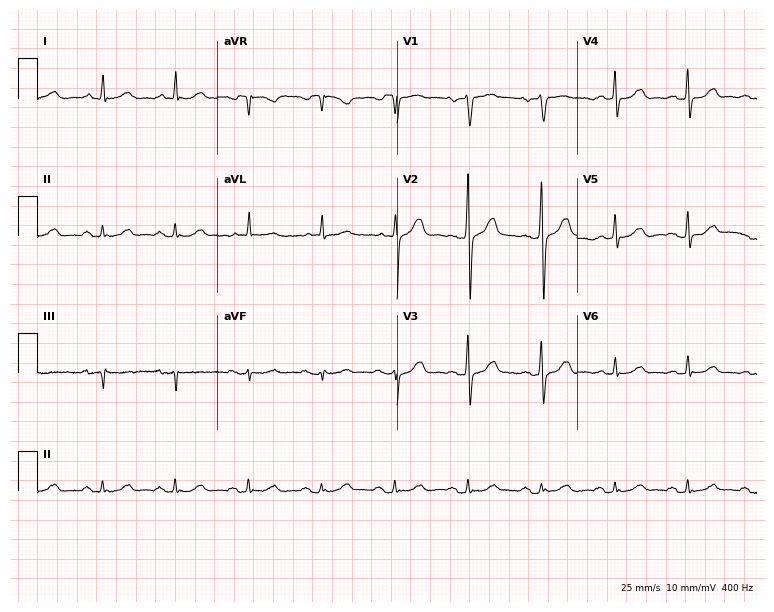
ECG (7.3-second recording at 400 Hz) — a 61-year-old male patient. Labelled as a normal ECG.